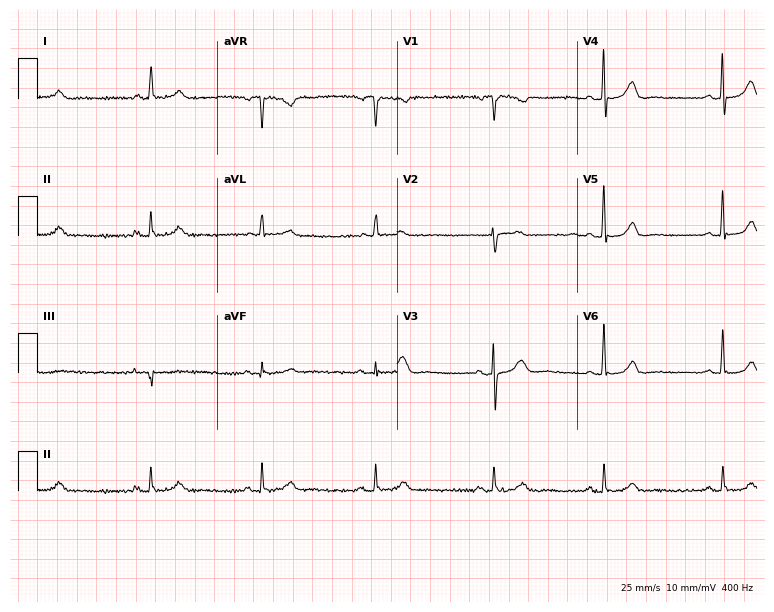
Resting 12-lead electrocardiogram. Patient: a female, 75 years old. Read as a normal ECG.